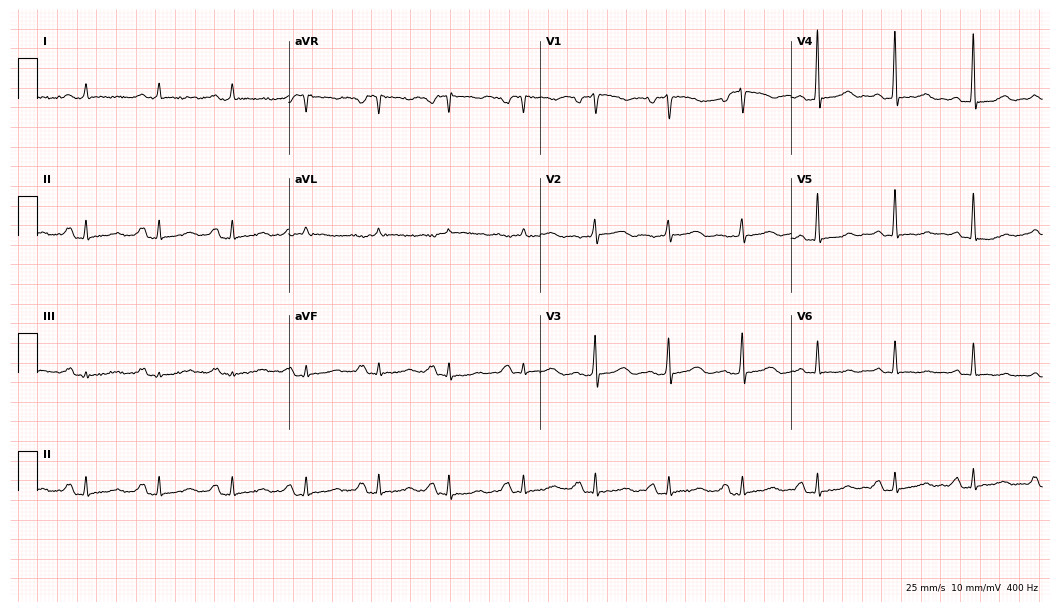
Standard 12-lead ECG recorded from a 64-year-old woman (10.2-second recording at 400 Hz). None of these six findings is recorded: first-degree AV block, right bundle branch block, left bundle branch block, sinus bradycardia, atrial fibrillation, sinus tachycardia. Other findings, if any, are not listed.